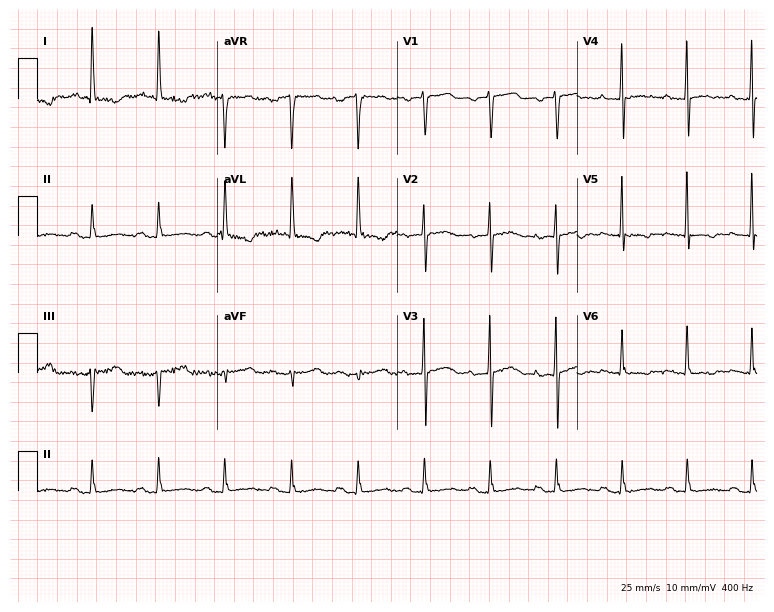
12-lead ECG (7.3-second recording at 400 Hz) from a male patient, 73 years old. Screened for six findings — first-degree AV block, right bundle branch block, left bundle branch block, sinus bradycardia, atrial fibrillation, sinus tachycardia — none is recorded.